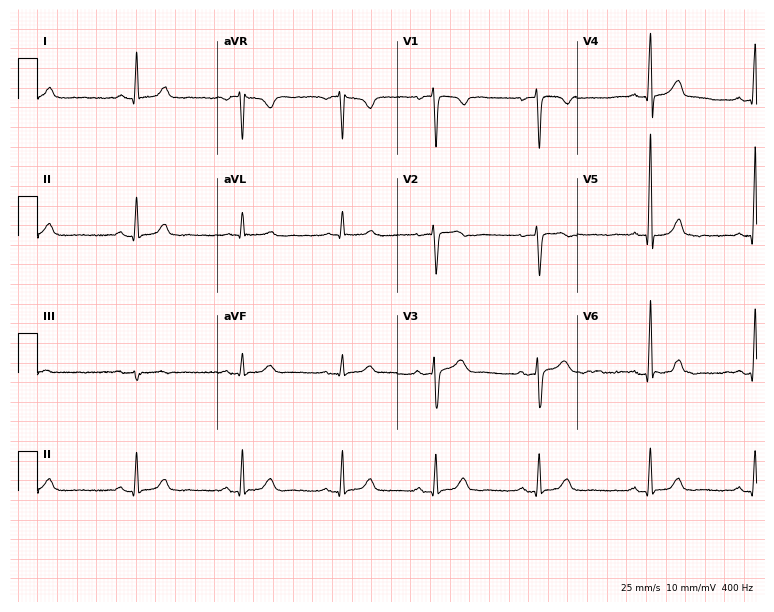
Standard 12-lead ECG recorded from a female, 57 years old (7.3-second recording at 400 Hz). Read as a normal ECG.